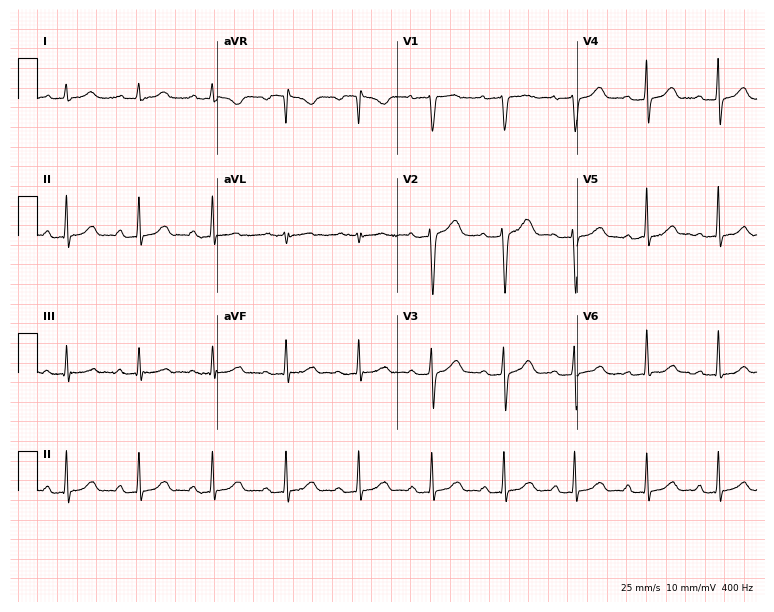
12-lead ECG (7.3-second recording at 400 Hz) from a female patient, 43 years old. Labelled as a normal ECG.